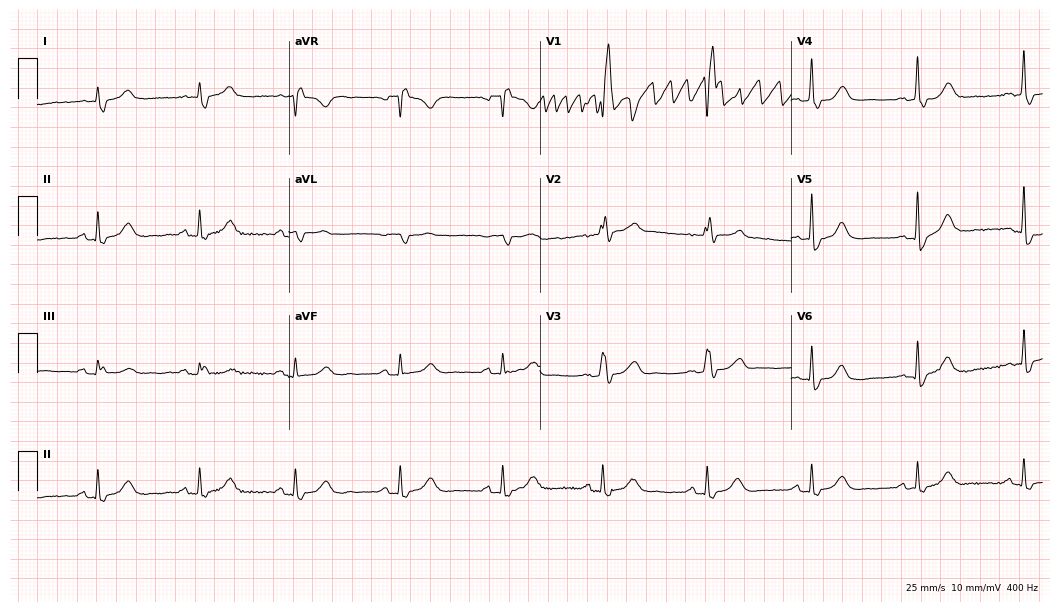
Electrocardiogram (10.2-second recording at 400 Hz), a 75-year-old male patient. Of the six screened findings (first-degree AV block, right bundle branch block, left bundle branch block, sinus bradycardia, atrial fibrillation, sinus tachycardia), none is recorded. Other findings, if any, are not listed.